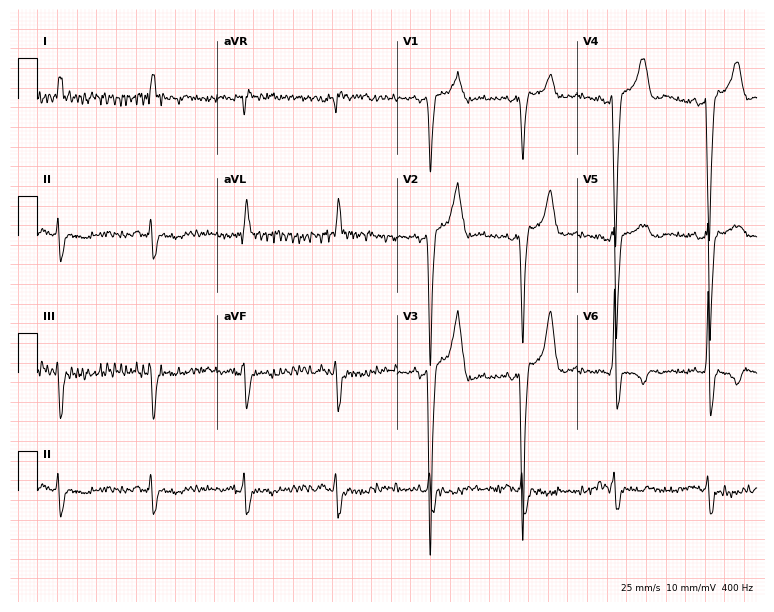
12-lead ECG from an 80-year-old male (7.3-second recording at 400 Hz). No first-degree AV block, right bundle branch block, left bundle branch block, sinus bradycardia, atrial fibrillation or sinus tachycardia recorded for this tracing. Other findings, if any, are not listed.